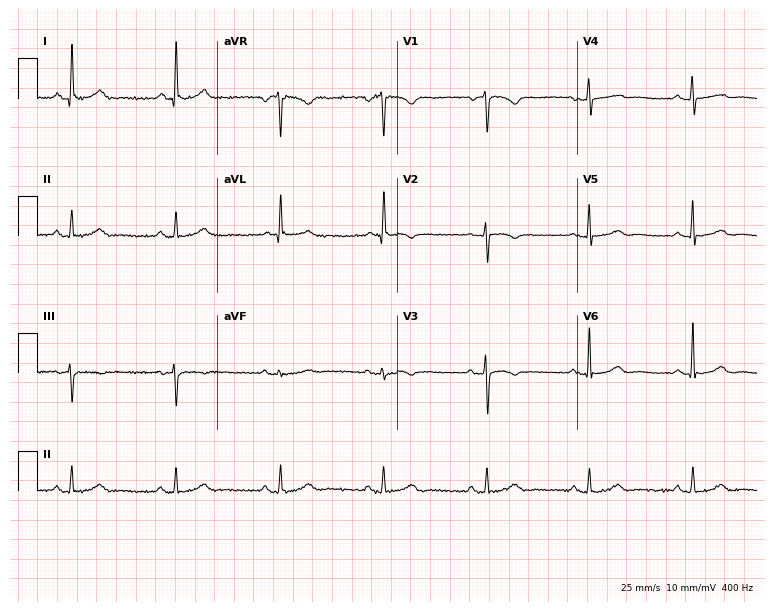
12-lead ECG from a 74-year-old female. No first-degree AV block, right bundle branch block, left bundle branch block, sinus bradycardia, atrial fibrillation or sinus tachycardia recorded for this tracing. Only these six findings were labelled.